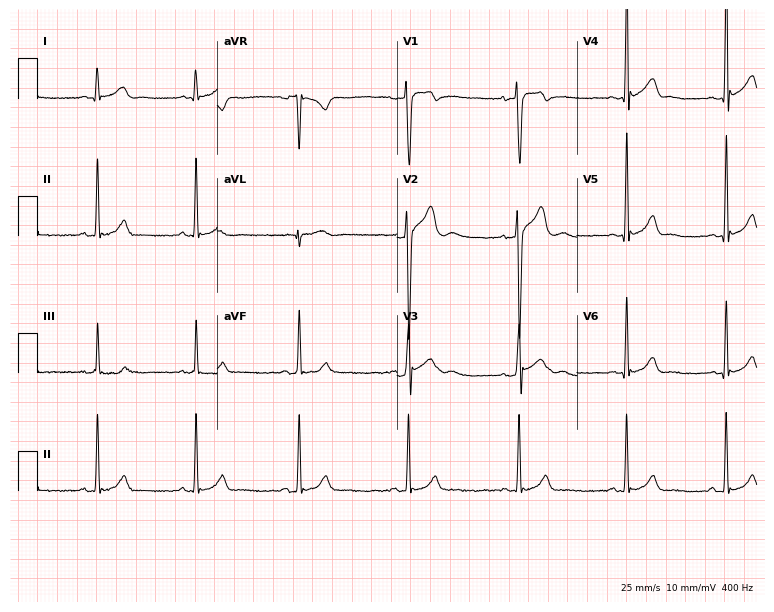
Resting 12-lead electrocardiogram (7.3-second recording at 400 Hz). Patient: a 19-year-old male. None of these six findings is recorded: first-degree AV block, right bundle branch block, left bundle branch block, sinus bradycardia, atrial fibrillation, sinus tachycardia. Findings outside these six are not listed.